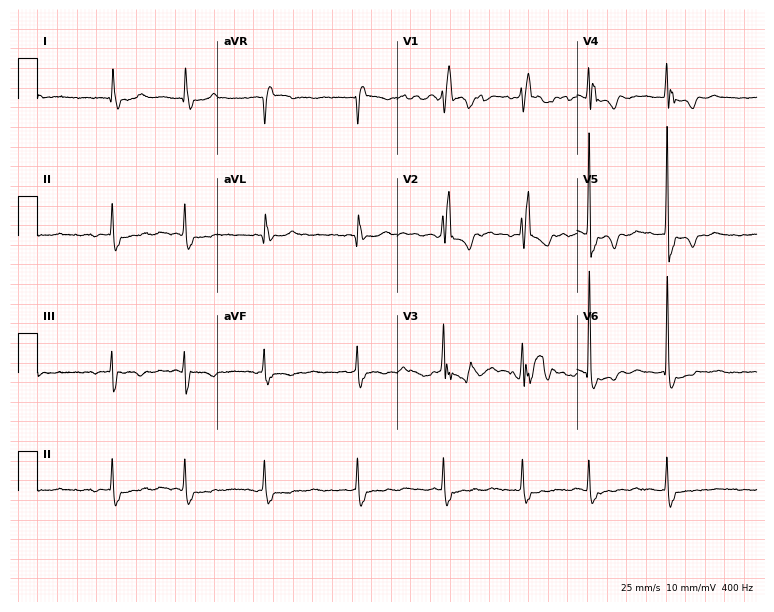
12-lead ECG (7.3-second recording at 400 Hz) from a 73-year-old female. Findings include right bundle branch block, atrial fibrillation.